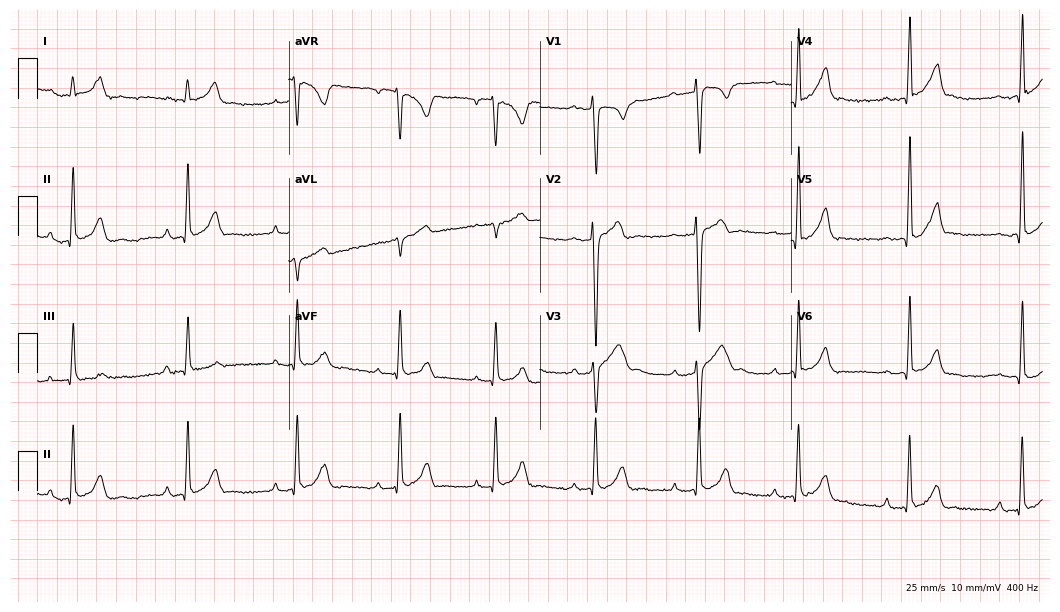
12-lead ECG from a man, 17 years old. Shows first-degree AV block.